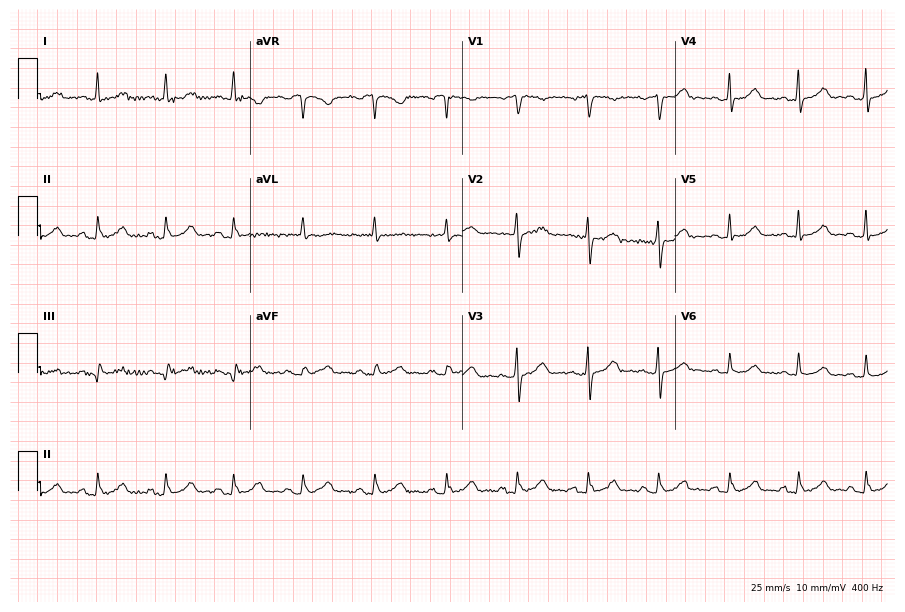
Resting 12-lead electrocardiogram. Patient: a female, 55 years old. Read as a normal ECG.